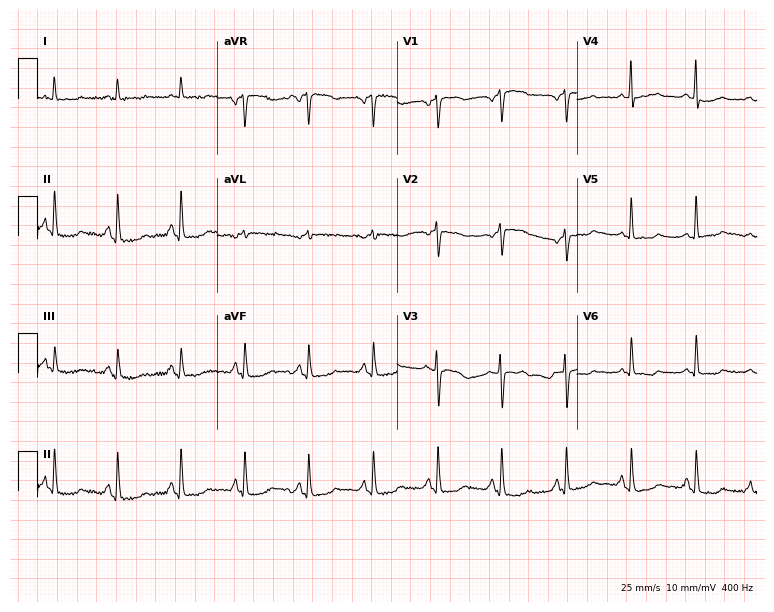
Standard 12-lead ECG recorded from a 62-year-old woman. None of these six findings is recorded: first-degree AV block, right bundle branch block, left bundle branch block, sinus bradycardia, atrial fibrillation, sinus tachycardia.